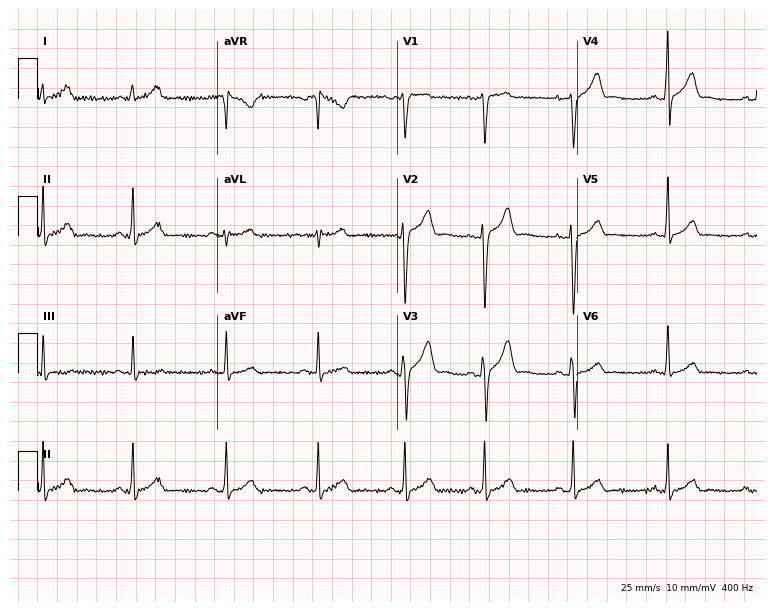
ECG (7.3-second recording at 400 Hz) — a 26-year-old man. Labelled as a normal ECG.